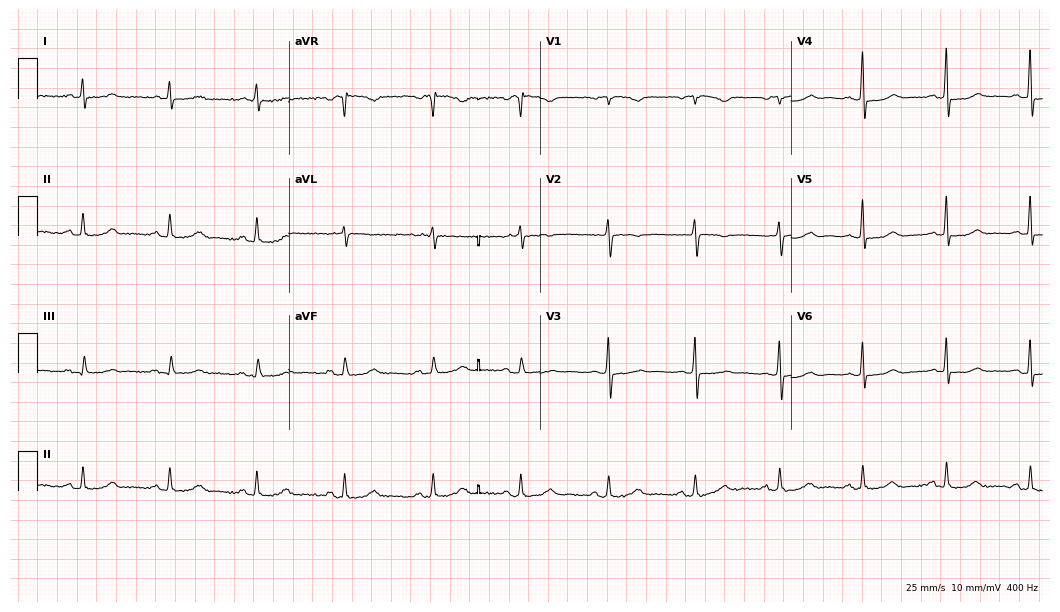
Electrocardiogram, a 56-year-old female. Of the six screened findings (first-degree AV block, right bundle branch block, left bundle branch block, sinus bradycardia, atrial fibrillation, sinus tachycardia), none is recorded. Findings outside these six are not listed.